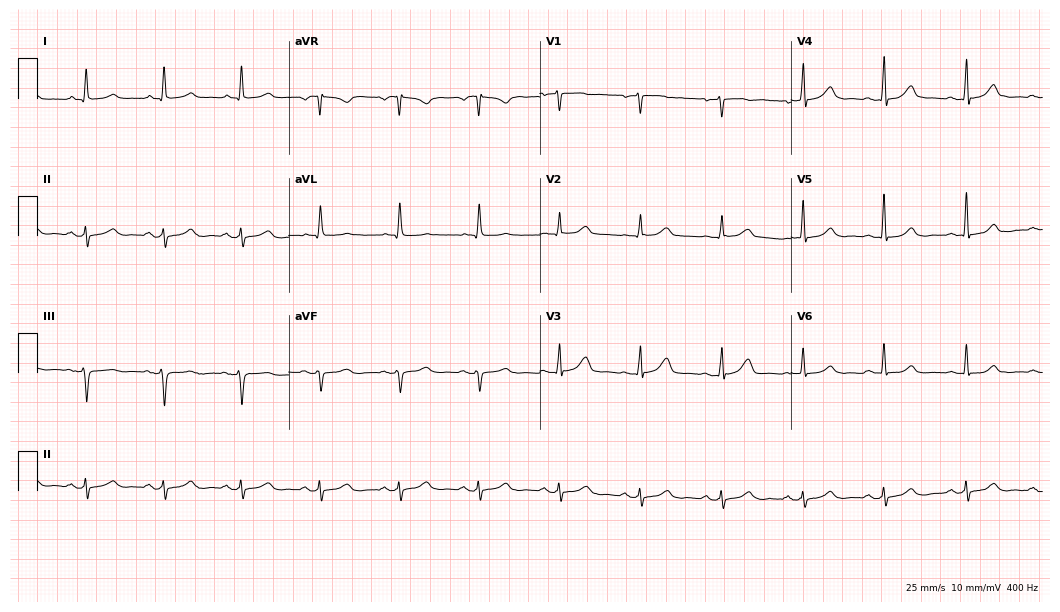
Standard 12-lead ECG recorded from a 66-year-old female (10.2-second recording at 400 Hz). None of these six findings is recorded: first-degree AV block, right bundle branch block (RBBB), left bundle branch block (LBBB), sinus bradycardia, atrial fibrillation (AF), sinus tachycardia. Other findings, if any, are not listed.